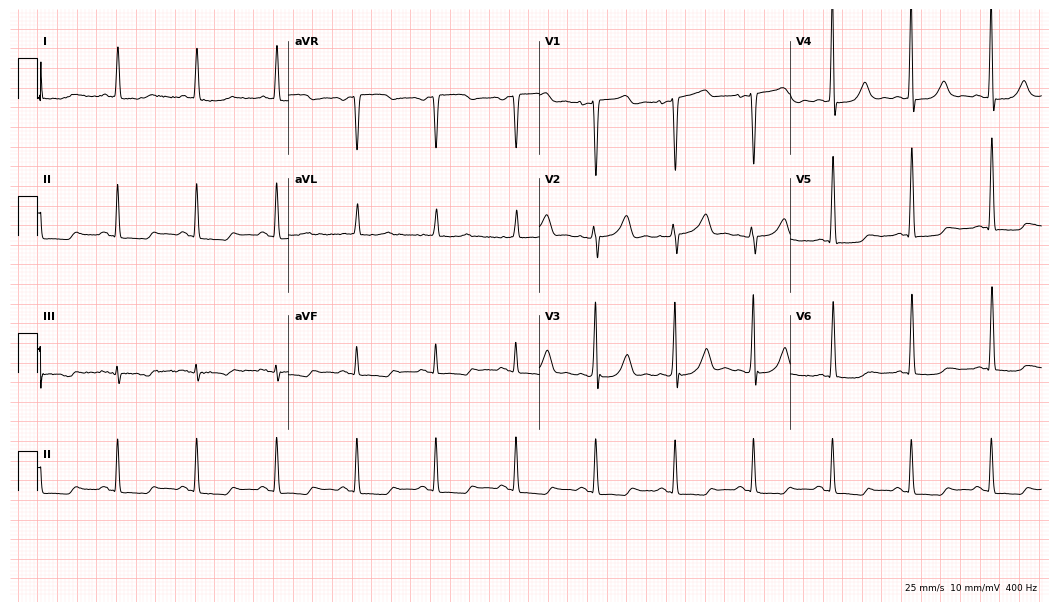
Electrocardiogram, a woman, 36 years old. Of the six screened findings (first-degree AV block, right bundle branch block, left bundle branch block, sinus bradycardia, atrial fibrillation, sinus tachycardia), none is recorded. Other findings, if any, are not listed.